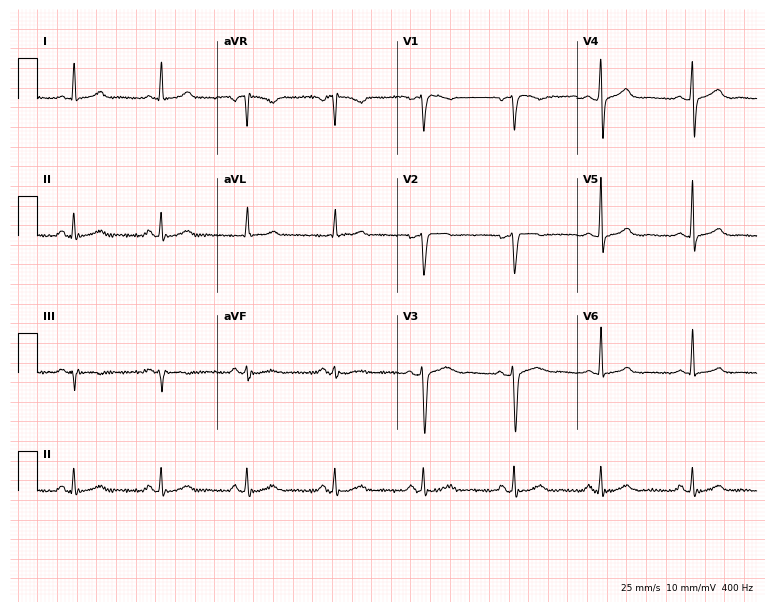
12-lead ECG from a 47-year-old female patient. Labelled as a normal ECG.